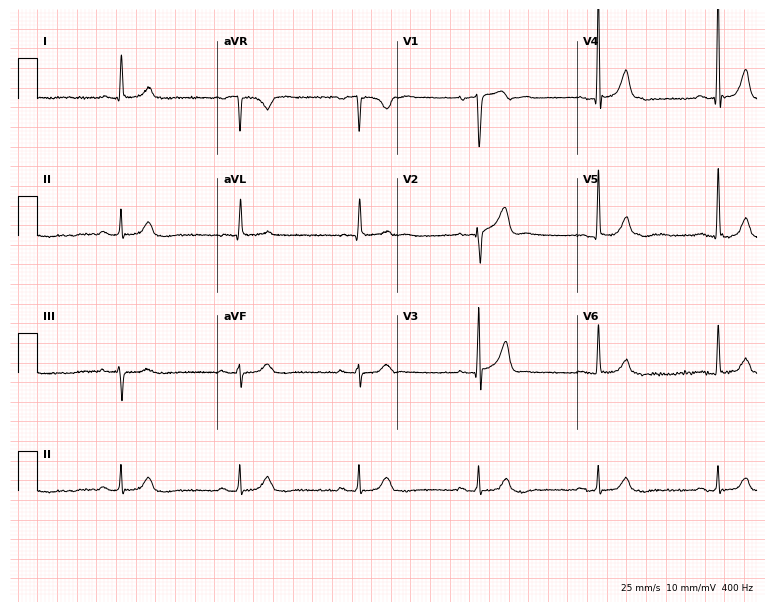
ECG — a male patient, 85 years old. Findings include sinus bradycardia (a sinus rate of 50 beats per minute or less).